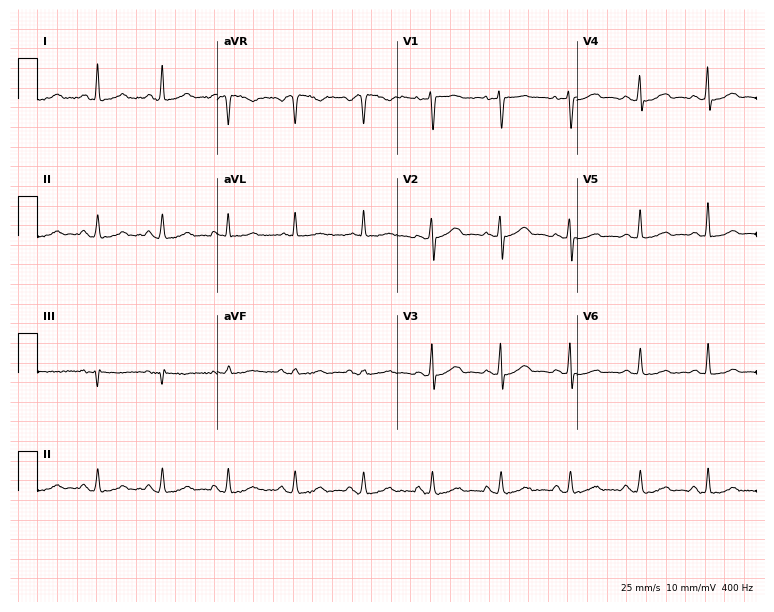
Standard 12-lead ECG recorded from a woman, 59 years old. None of these six findings is recorded: first-degree AV block, right bundle branch block (RBBB), left bundle branch block (LBBB), sinus bradycardia, atrial fibrillation (AF), sinus tachycardia. Findings outside these six are not listed.